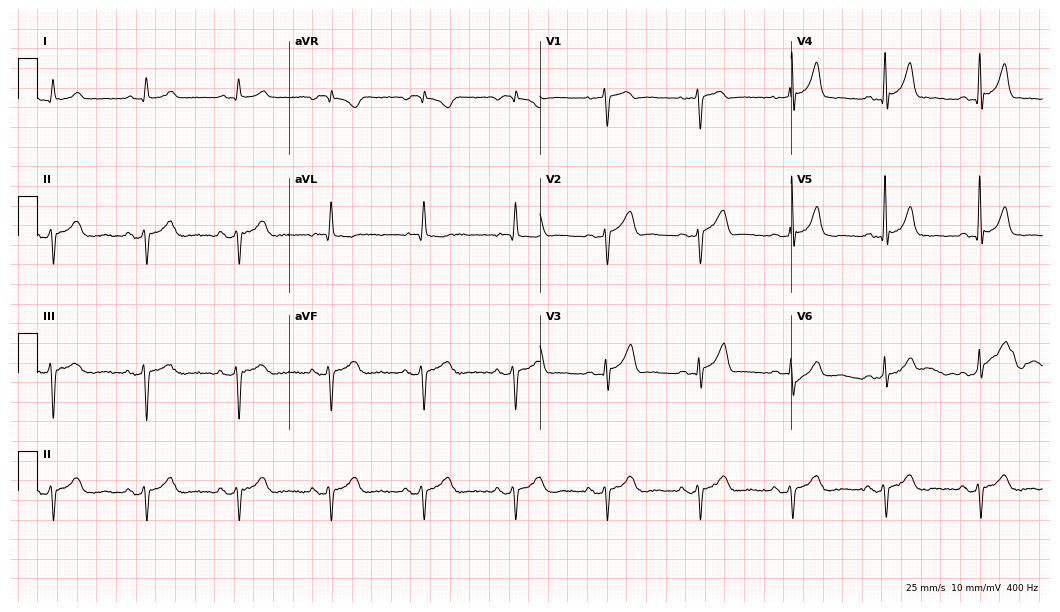
12-lead ECG (10.2-second recording at 400 Hz) from a 65-year-old man. Screened for six findings — first-degree AV block, right bundle branch block, left bundle branch block, sinus bradycardia, atrial fibrillation, sinus tachycardia — none is recorded.